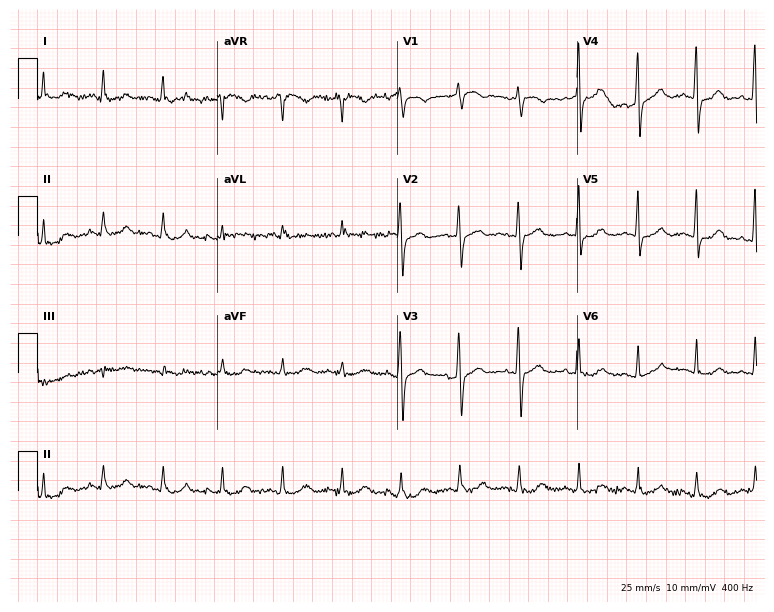
Standard 12-lead ECG recorded from a 73-year-old woman. Read as a normal ECG.